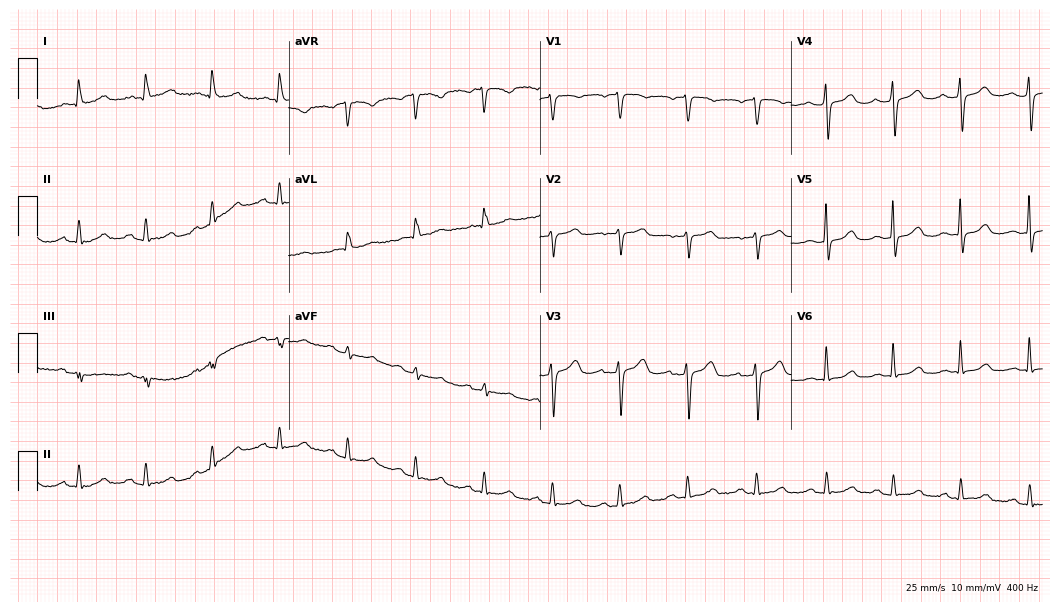
Electrocardiogram, an 81-year-old female. Overall reading on record: normal ECG.